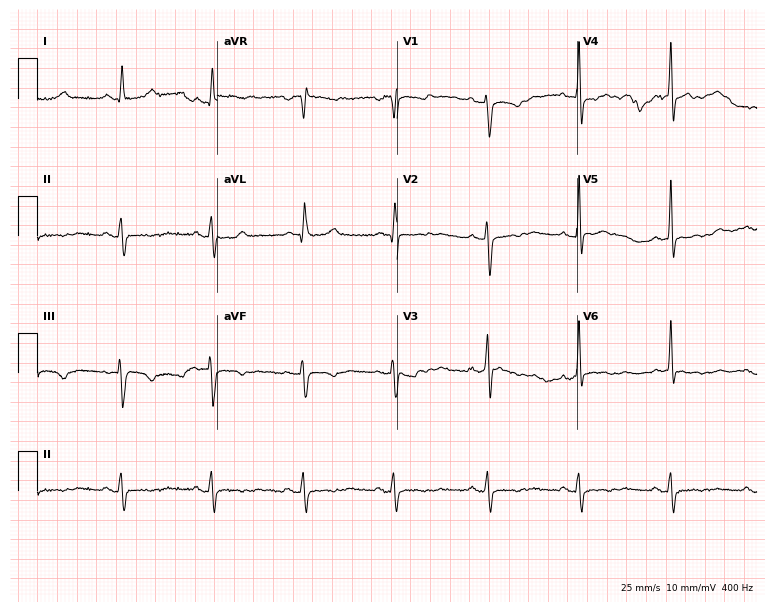
Resting 12-lead electrocardiogram (7.3-second recording at 400 Hz). Patient: a 39-year-old male. None of these six findings is recorded: first-degree AV block, right bundle branch block (RBBB), left bundle branch block (LBBB), sinus bradycardia, atrial fibrillation (AF), sinus tachycardia.